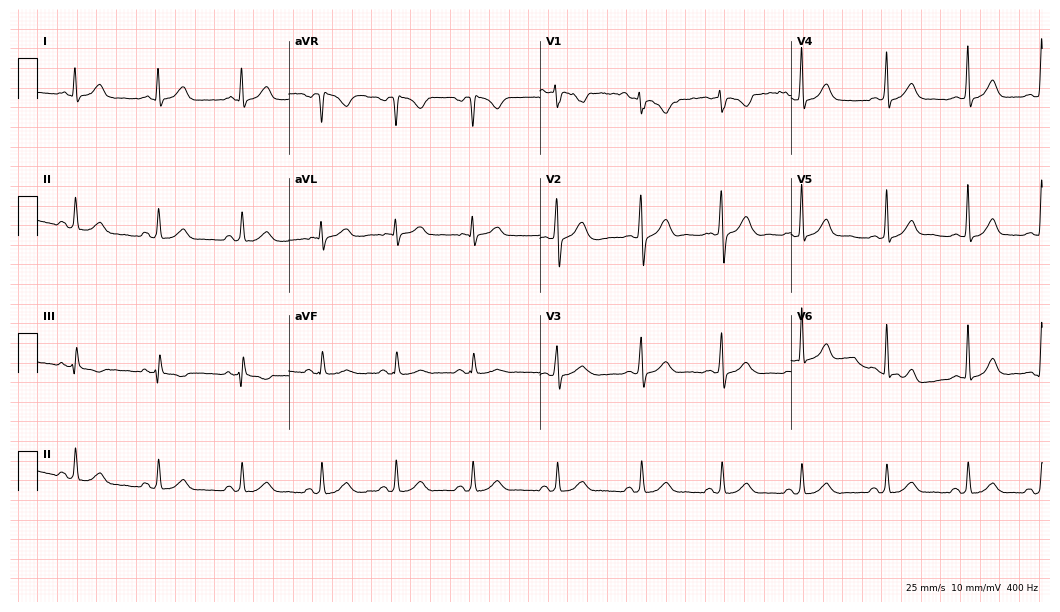
12-lead ECG (10.2-second recording at 400 Hz) from a woman, 25 years old. Labelled as a normal ECG.